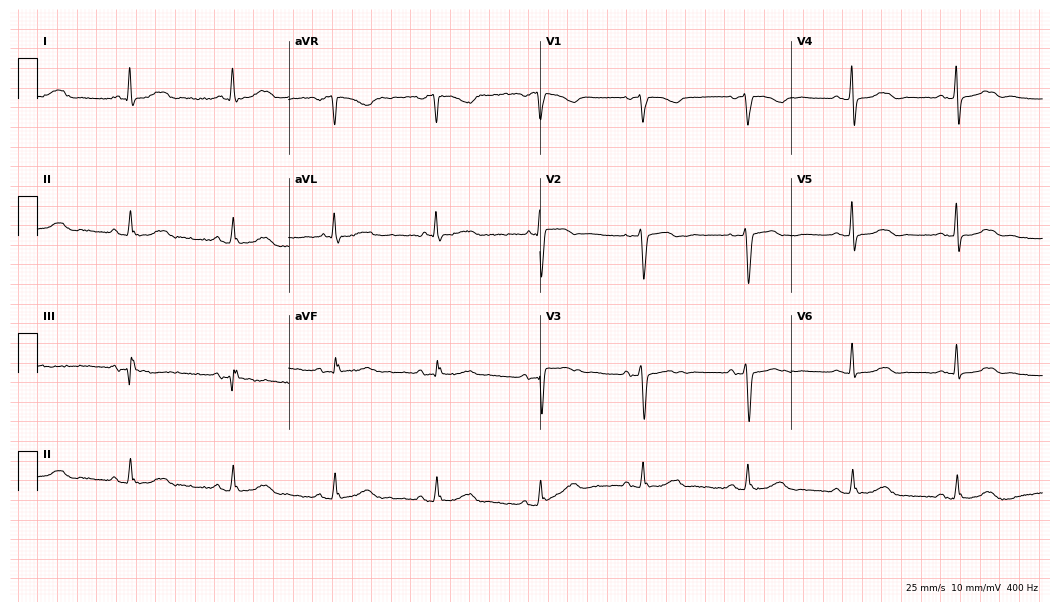
Resting 12-lead electrocardiogram (10.2-second recording at 400 Hz). Patient: a 72-year-old woman. None of these six findings is recorded: first-degree AV block, right bundle branch block, left bundle branch block, sinus bradycardia, atrial fibrillation, sinus tachycardia.